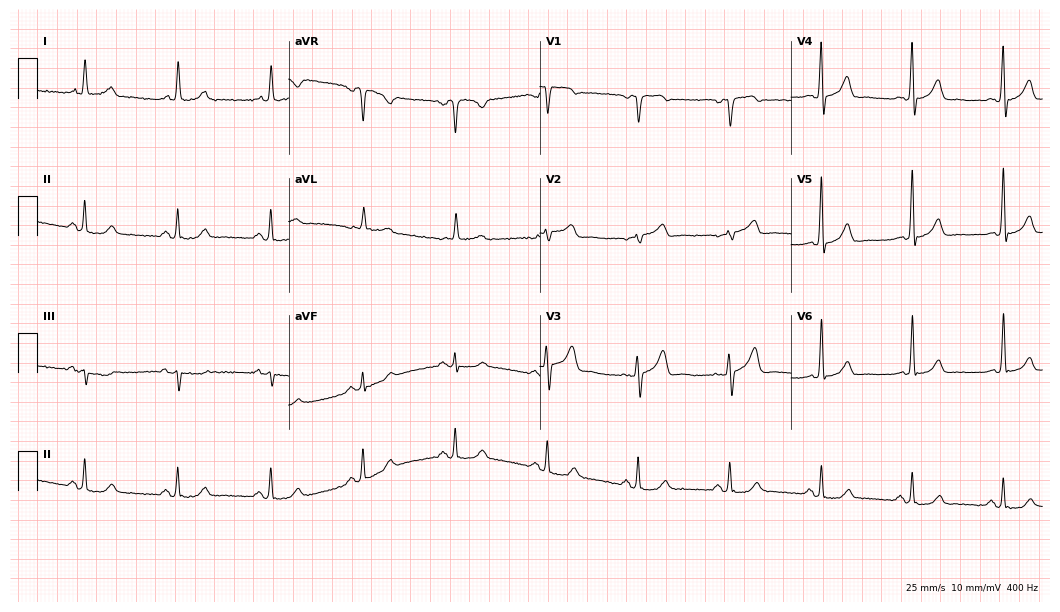
Electrocardiogram, a male, 84 years old. Overall reading on record: normal ECG.